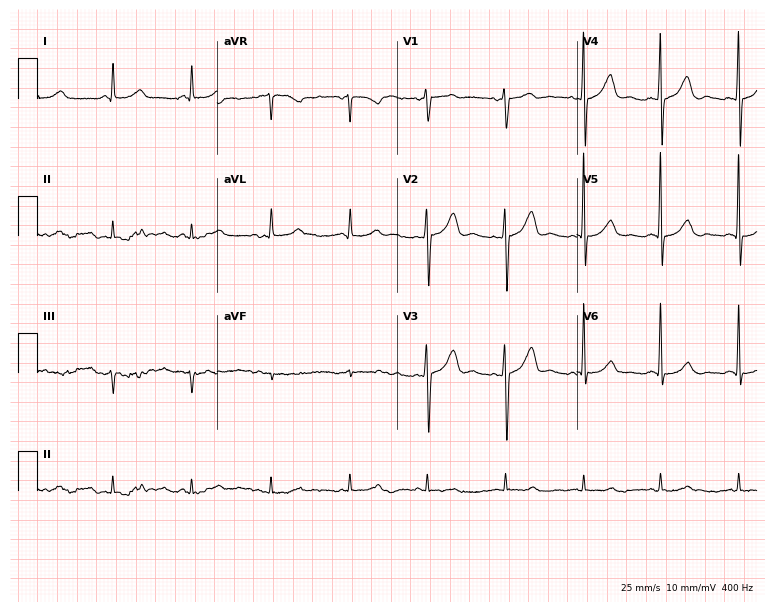
ECG (7.3-second recording at 400 Hz) — a 60-year-old male patient. Labelled as a normal ECG.